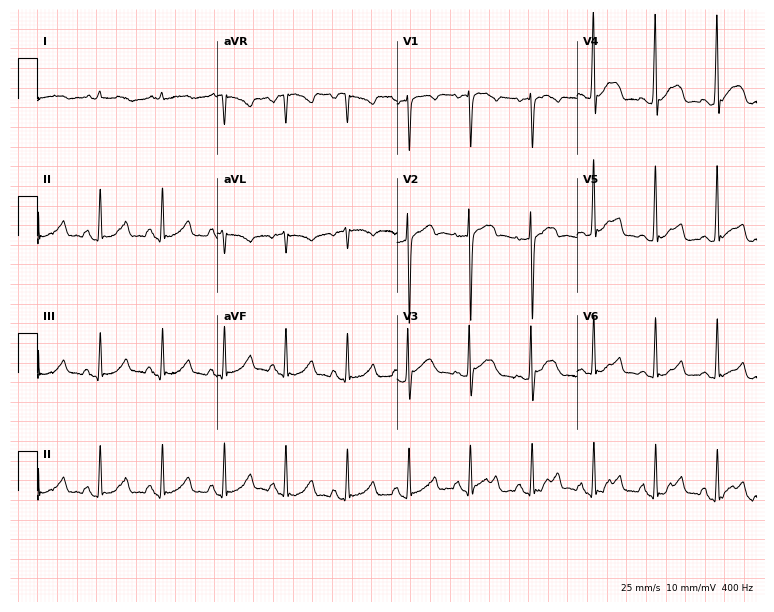
12-lead ECG (7.3-second recording at 400 Hz) from a male, 55 years old. Screened for six findings — first-degree AV block, right bundle branch block, left bundle branch block, sinus bradycardia, atrial fibrillation, sinus tachycardia — none is recorded. Other findings, if any, are not listed.